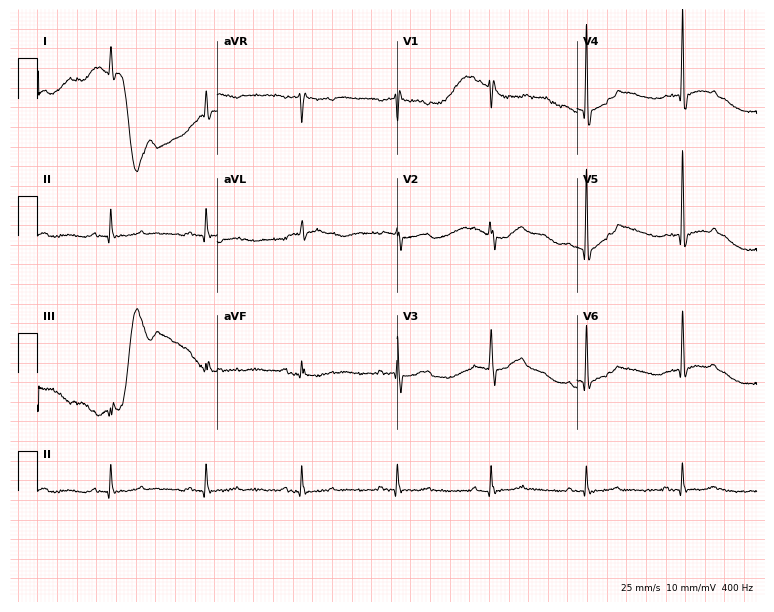
12-lead ECG from a man, 67 years old. No first-degree AV block, right bundle branch block, left bundle branch block, sinus bradycardia, atrial fibrillation or sinus tachycardia recorded for this tracing. Only these six findings were labelled.